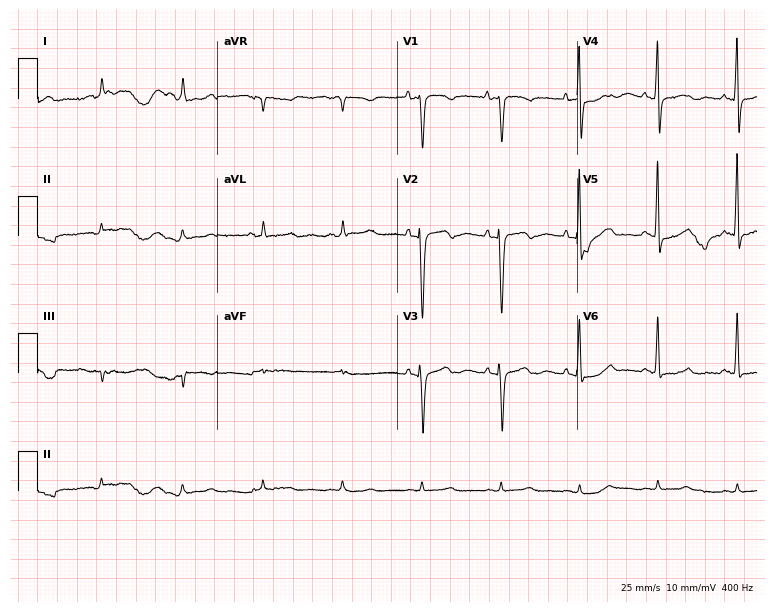
Resting 12-lead electrocardiogram. Patient: a 35-year-old female. None of these six findings is recorded: first-degree AV block, right bundle branch block, left bundle branch block, sinus bradycardia, atrial fibrillation, sinus tachycardia. Only these six findings were labelled.